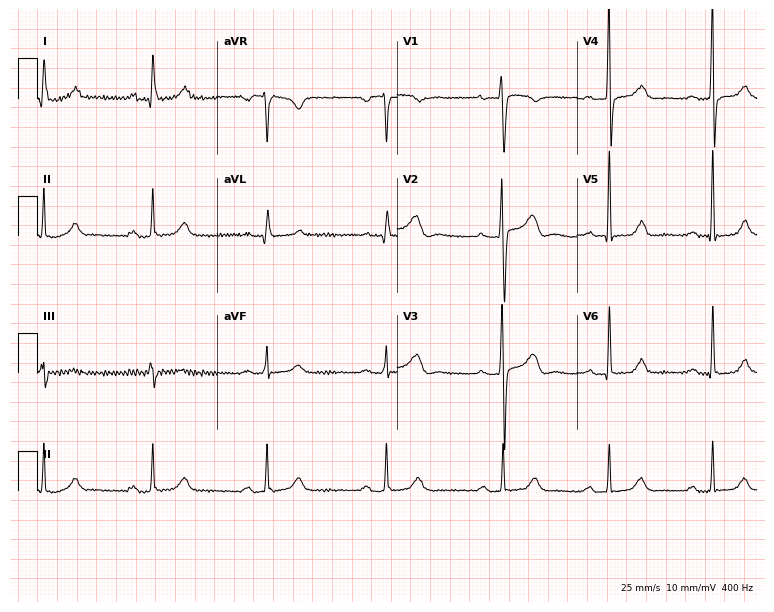
12-lead ECG from a 45-year-old female patient. Findings include first-degree AV block.